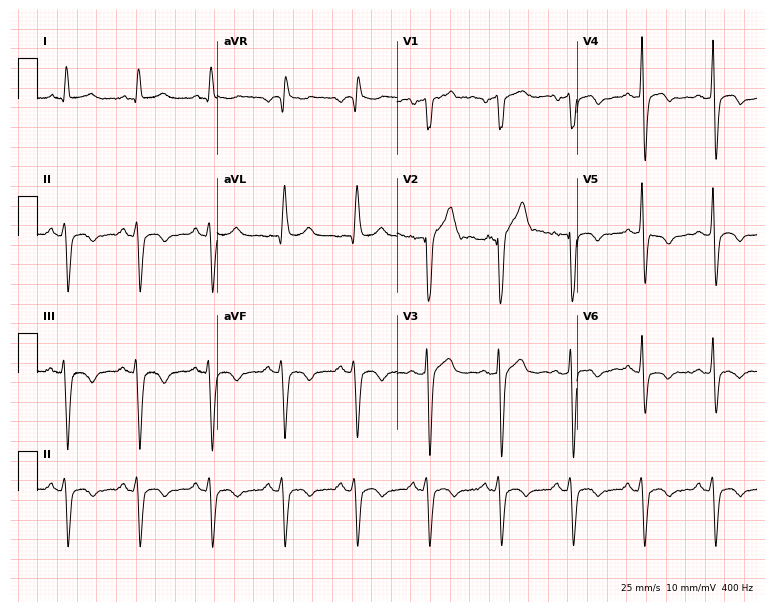
Standard 12-lead ECG recorded from a 63-year-old male patient. None of these six findings is recorded: first-degree AV block, right bundle branch block (RBBB), left bundle branch block (LBBB), sinus bradycardia, atrial fibrillation (AF), sinus tachycardia.